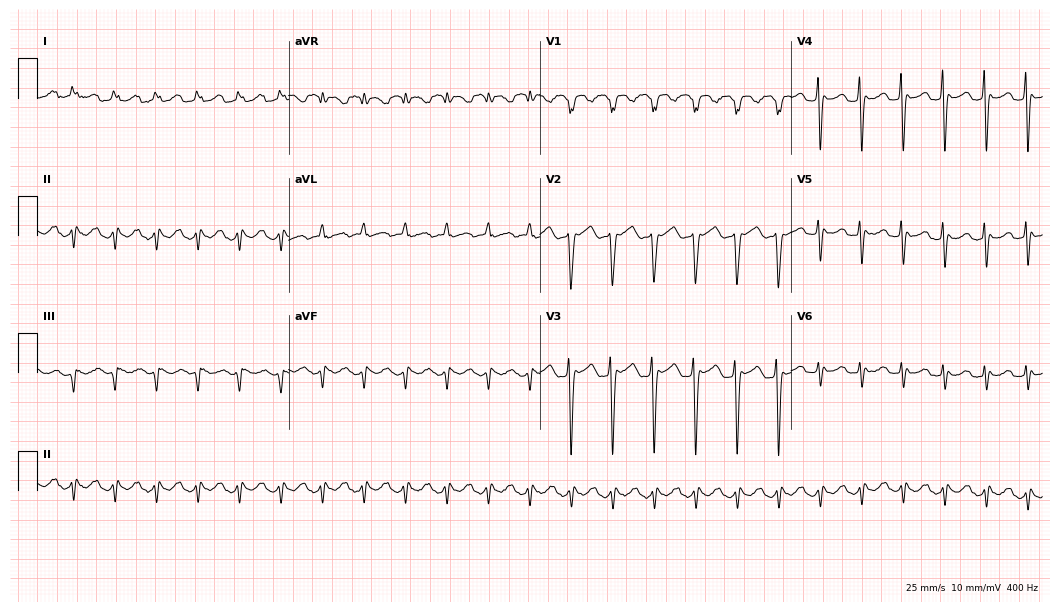
Standard 12-lead ECG recorded from a 67-year-old man. None of these six findings is recorded: first-degree AV block, right bundle branch block, left bundle branch block, sinus bradycardia, atrial fibrillation, sinus tachycardia.